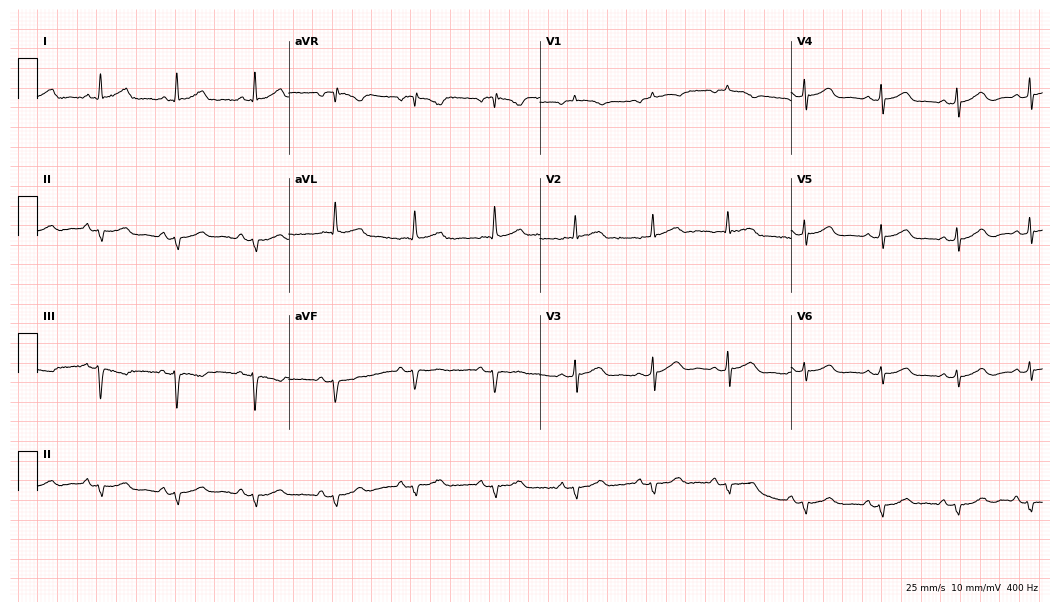
Resting 12-lead electrocardiogram (10.2-second recording at 400 Hz). Patient: a 75-year-old woman. None of these six findings is recorded: first-degree AV block, right bundle branch block, left bundle branch block, sinus bradycardia, atrial fibrillation, sinus tachycardia. Other findings, if any, are not listed.